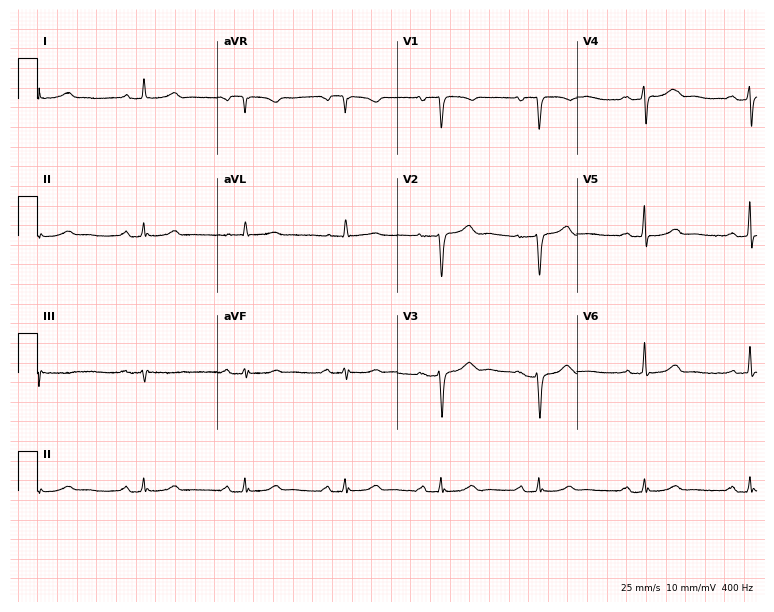
Electrocardiogram (7.3-second recording at 400 Hz), a 70-year-old woman. Of the six screened findings (first-degree AV block, right bundle branch block (RBBB), left bundle branch block (LBBB), sinus bradycardia, atrial fibrillation (AF), sinus tachycardia), none is recorded.